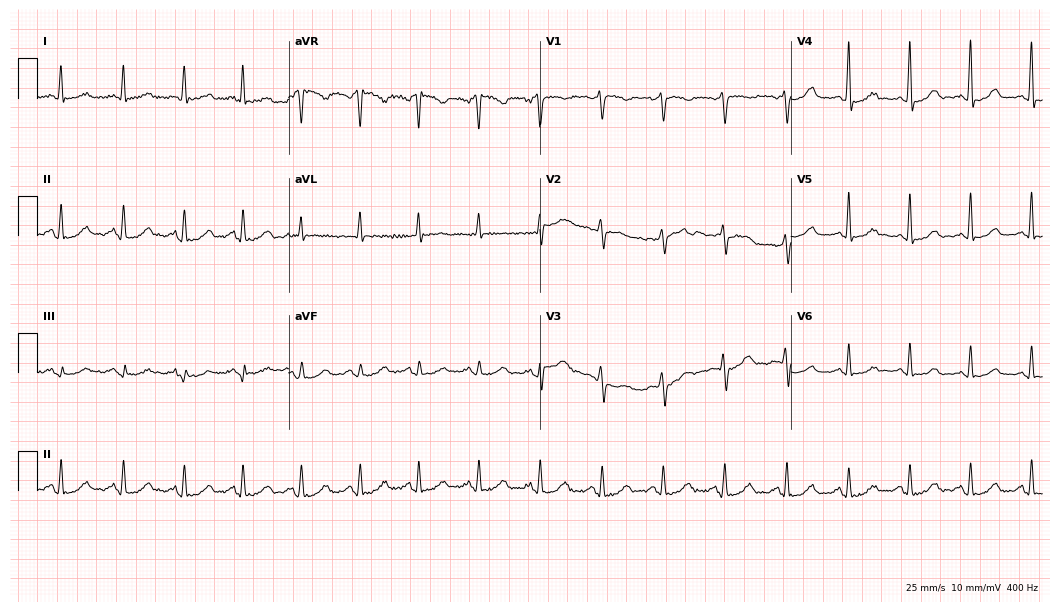
Electrocardiogram, a 51-year-old female. Of the six screened findings (first-degree AV block, right bundle branch block, left bundle branch block, sinus bradycardia, atrial fibrillation, sinus tachycardia), none is recorded. Findings outside these six are not listed.